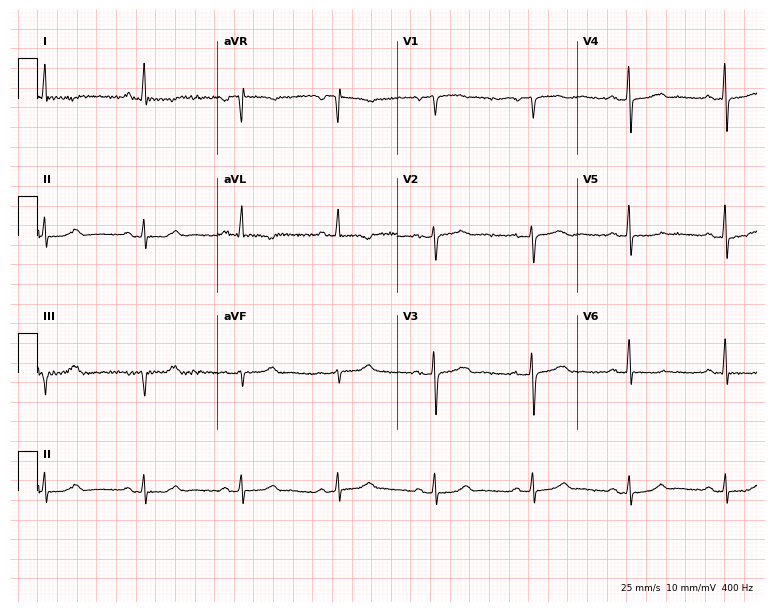
ECG — a 55-year-old woman. Screened for six findings — first-degree AV block, right bundle branch block, left bundle branch block, sinus bradycardia, atrial fibrillation, sinus tachycardia — none is recorded. Only these six findings were labelled.